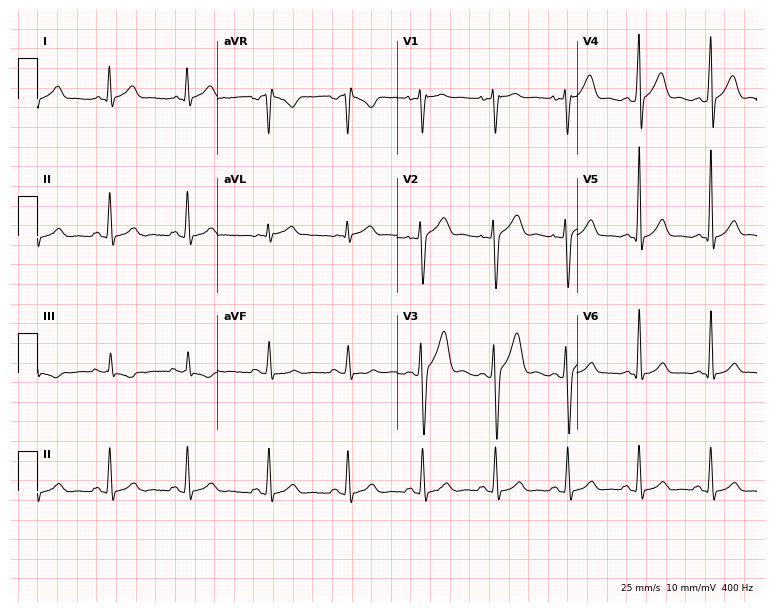
ECG (7.3-second recording at 400 Hz) — a 25-year-old male. Screened for six findings — first-degree AV block, right bundle branch block, left bundle branch block, sinus bradycardia, atrial fibrillation, sinus tachycardia — none is recorded.